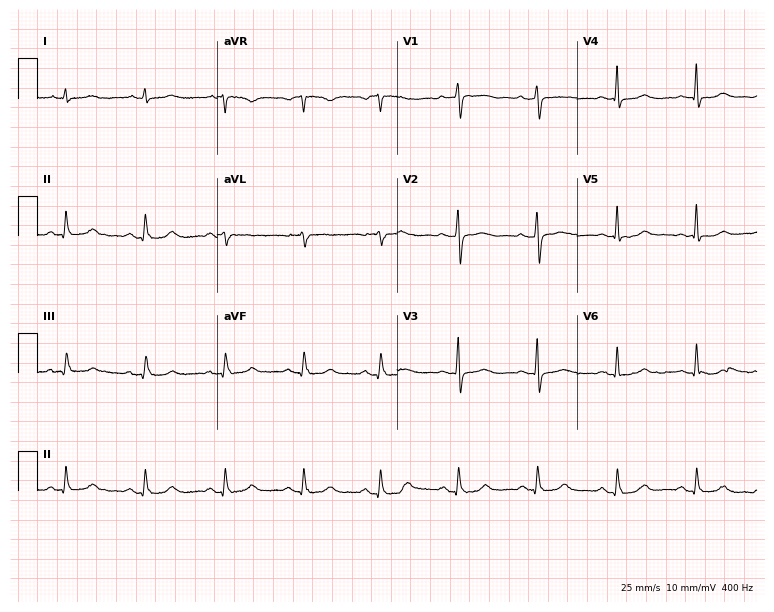
Resting 12-lead electrocardiogram. Patient: a female, 49 years old. Read as a normal ECG.